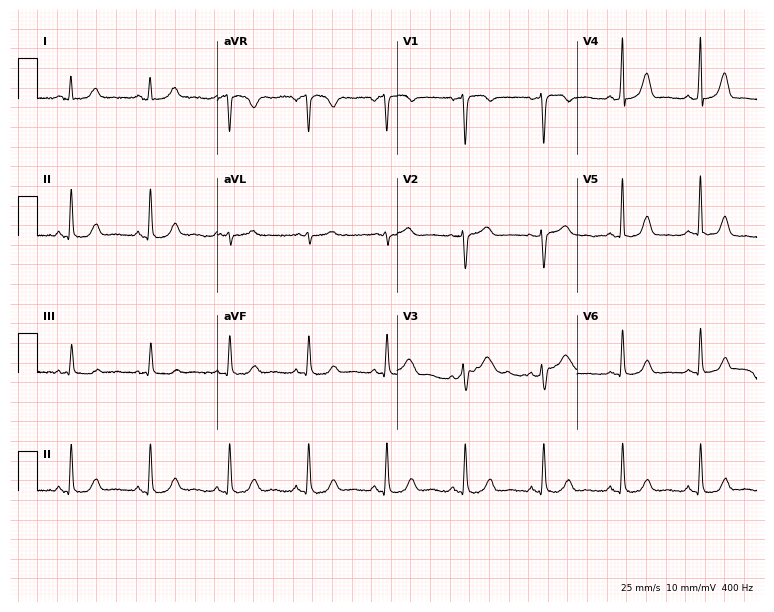
Resting 12-lead electrocardiogram. Patient: a 53-year-old female. Read as a normal ECG.